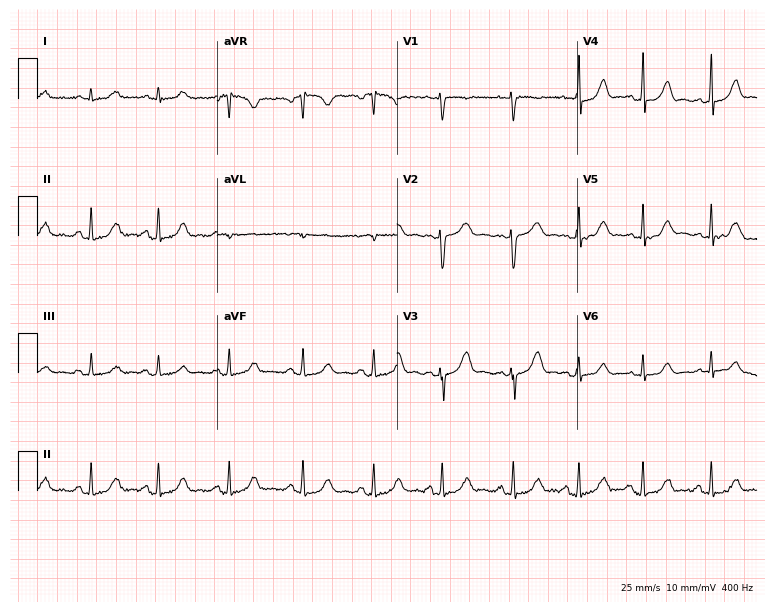
Resting 12-lead electrocardiogram. Patient: a female, 30 years old. None of these six findings is recorded: first-degree AV block, right bundle branch block, left bundle branch block, sinus bradycardia, atrial fibrillation, sinus tachycardia. Findings outside these six are not listed.